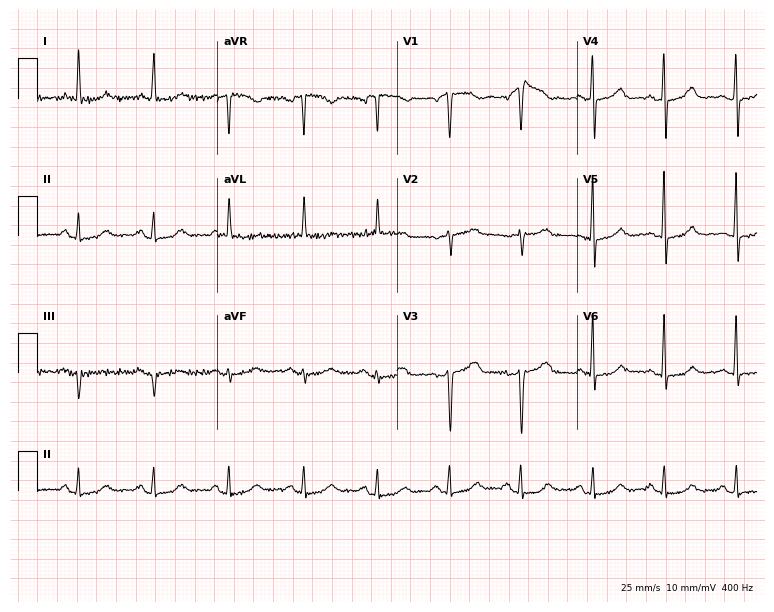
12-lead ECG (7.3-second recording at 400 Hz) from a 61-year-old female. Screened for six findings — first-degree AV block, right bundle branch block, left bundle branch block, sinus bradycardia, atrial fibrillation, sinus tachycardia — none is recorded. Only these six findings were labelled.